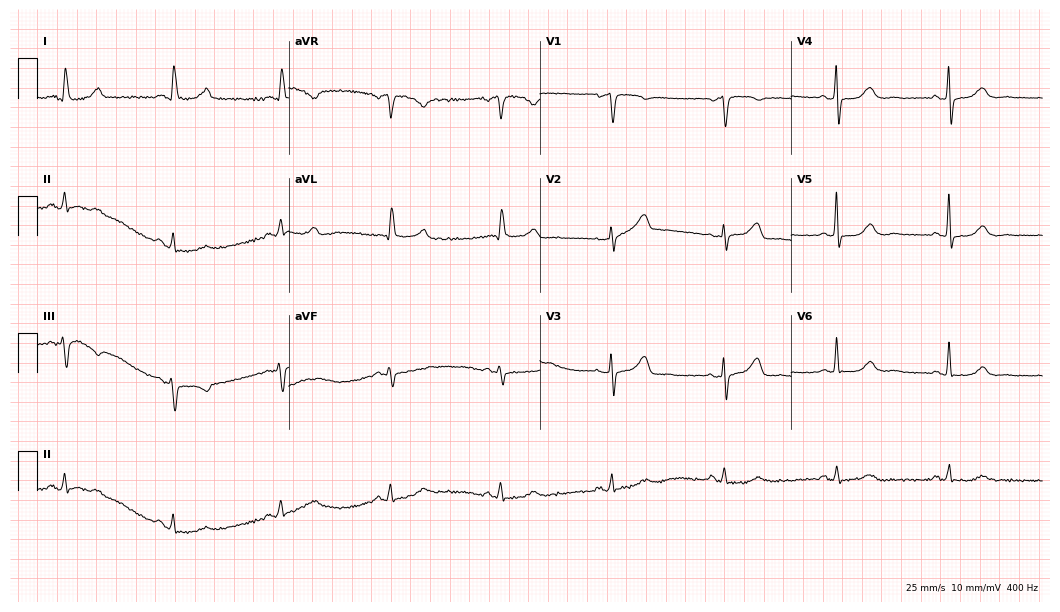
12-lead ECG from a woman, 72 years old (10.2-second recording at 400 Hz). No first-degree AV block, right bundle branch block (RBBB), left bundle branch block (LBBB), sinus bradycardia, atrial fibrillation (AF) or sinus tachycardia recorded for this tracing. Other findings, if any, are not listed.